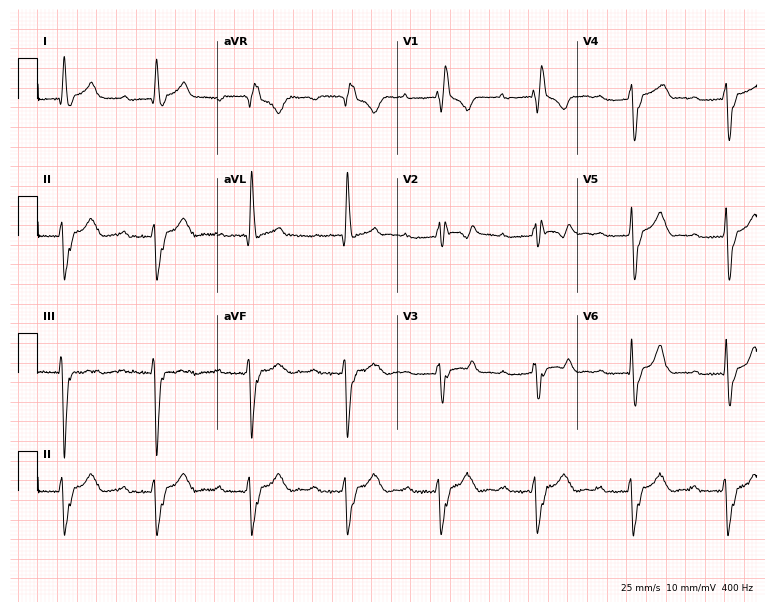
12-lead ECG from a man, 25 years old. Screened for six findings — first-degree AV block, right bundle branch block, left bundle branch block, sinus bradycardia, atrial fibrillation, sinus tachycardia — none is recorded. Only these six findings were labelled.